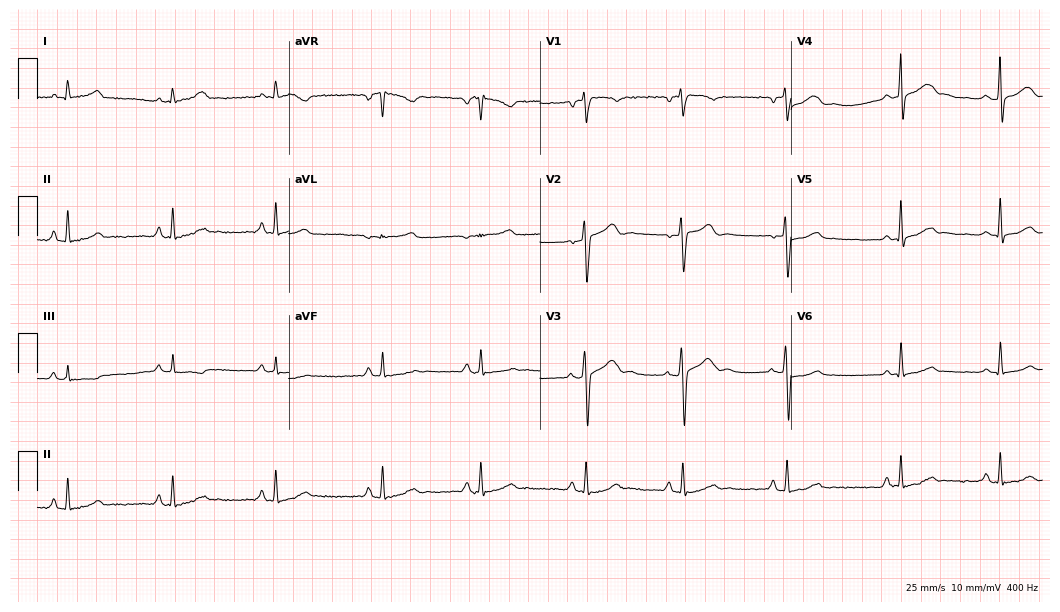
Electrocardiogram, a female, 35 years old. Overall reading on record: normal ECG.